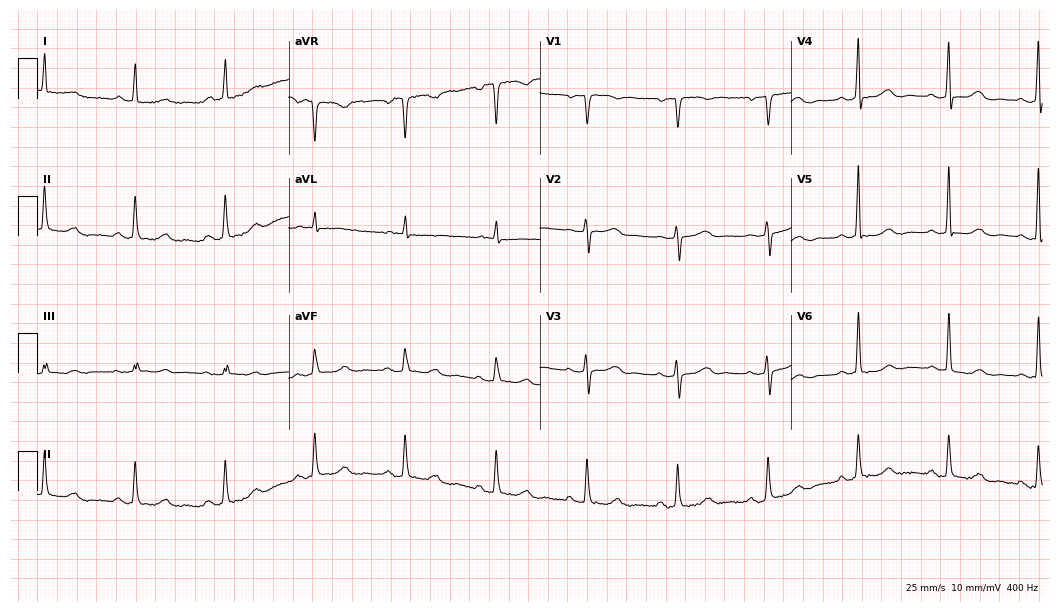
Electrocardiogram (10.2-second recording at 400 Hz), a 69-year-old female. Of the six screened findings (first-degree AV block, right bundle branch block (RBBB), left bundle branch block (LBBB), sinus bradycardia, atrial fibrillation (AF), sinus tachycardia), none is recorded. Only these six findings were labelled.